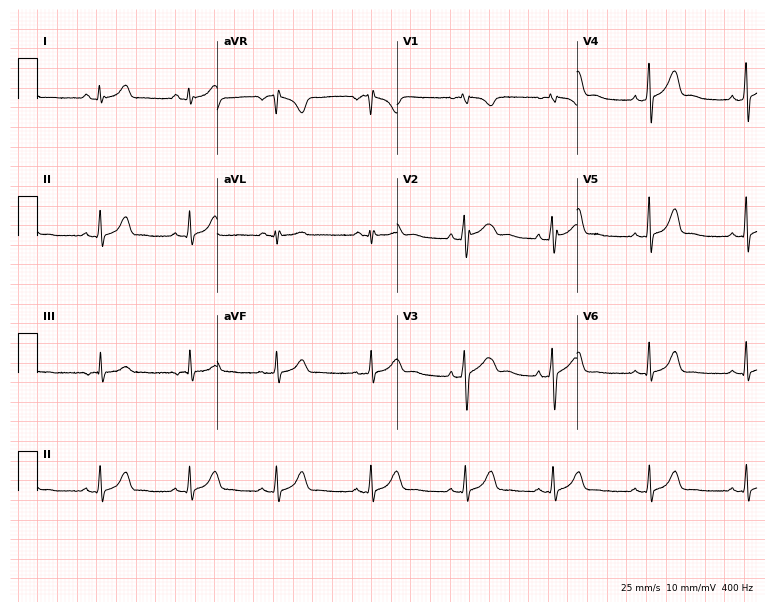
Electrocardiogram, a 30-year-old female patient. Overall reading on record: normal ECG.